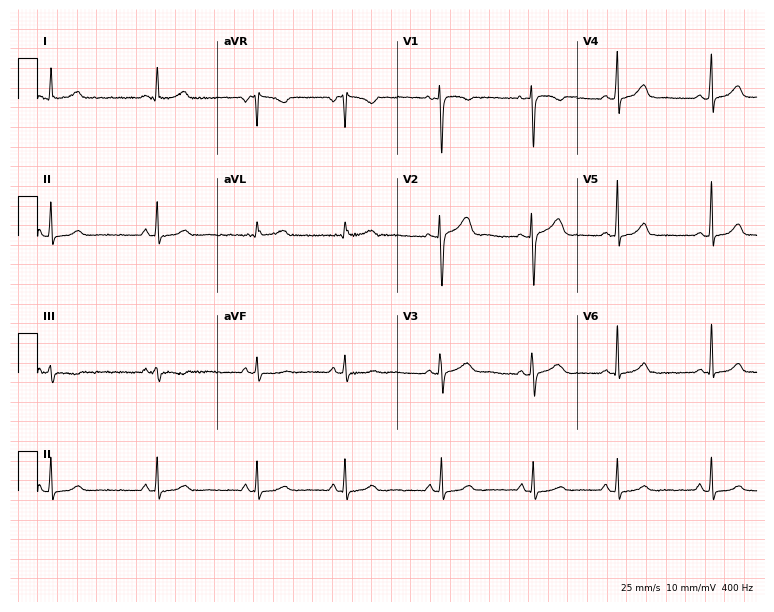
12-lead ECG from a 28-year-old female. Recorded interpretation: within normal limits.